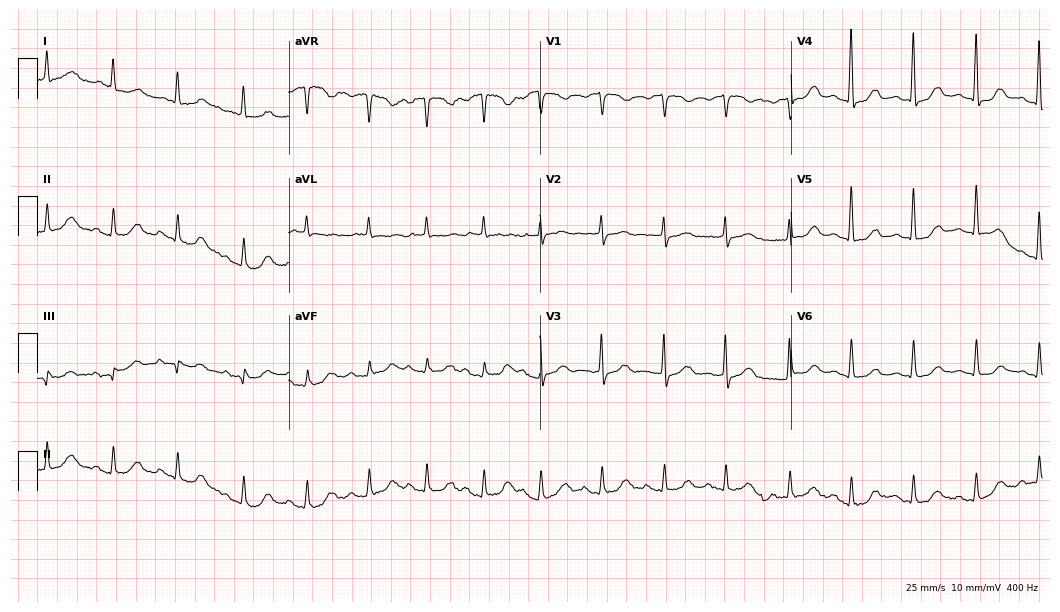
ECG — a female, 79 years old. Screened for six findings — first-degree AV block, right bundle branch block, left bundle branch block, sinus bradycardia, atrial fibrillation, sinus tachycardia — none is recorded. Only these six findings were labelled.